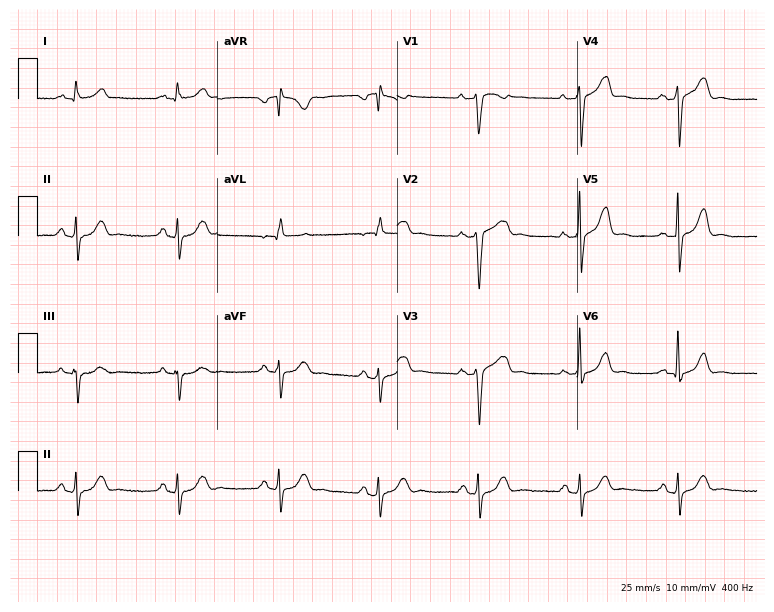
ECG — a woman, 44 years old. Screened for six findings — first-degree AV block, right bundle branch block, left bundle branch block, sinus bradycardia, atrial fibrillation, sinus tachycardia — none is recorded.